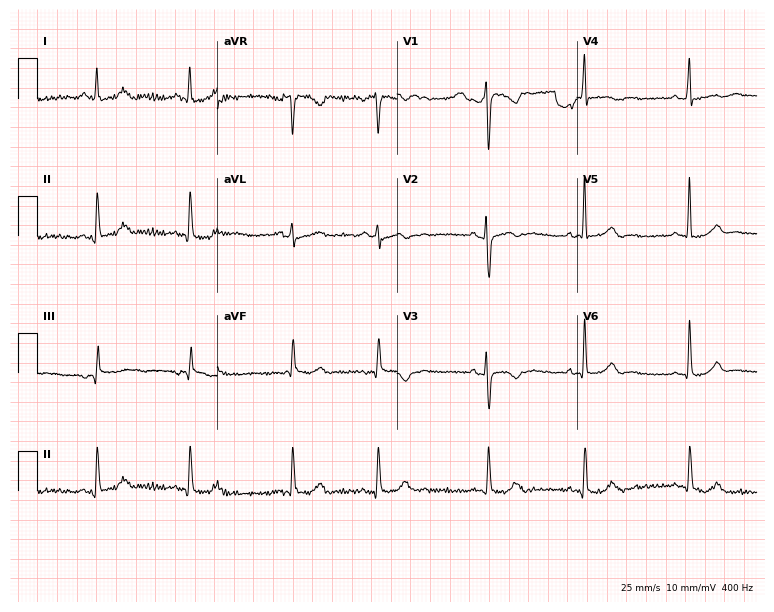
Standard 12-lead ECG recorded from a 20-year-old female patient. None of these six findings is recorded: first-degree AV block, right bundle branch block, left bundle branch block, sinus bradycardia, atrial fibrillation, sinus tachycardia.